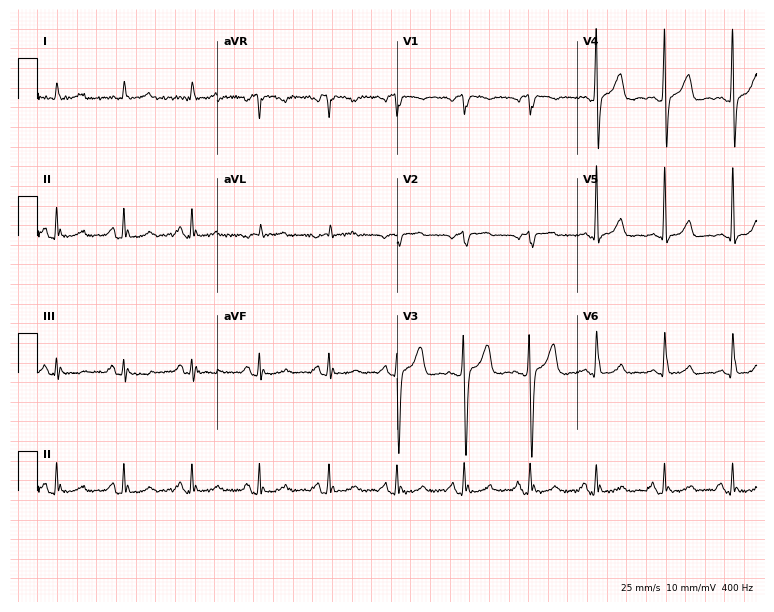
ECG — a 65-year-old male. Labelled as a normal ECG.